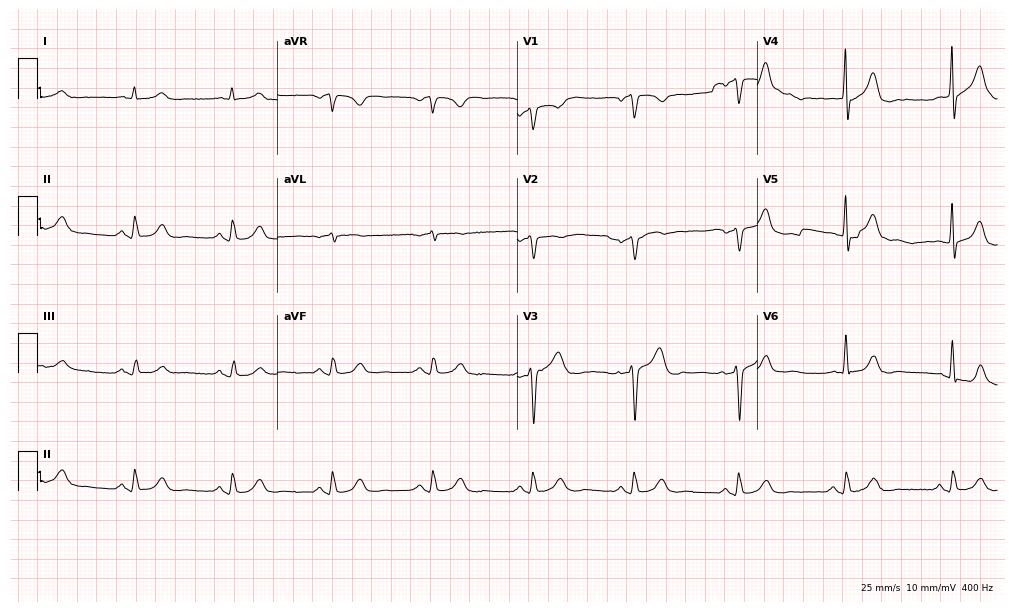
Electrocardiogram (9.8-second recording at 400 Hz), a 75-year-old male. Of the six screened findings (first-degree AV block, right bundle branch block, left bundle branch block, sinus bradycardia, atrial fibrillation, sinus tachycardia), none is recorded. Findings outside these six are not listed.